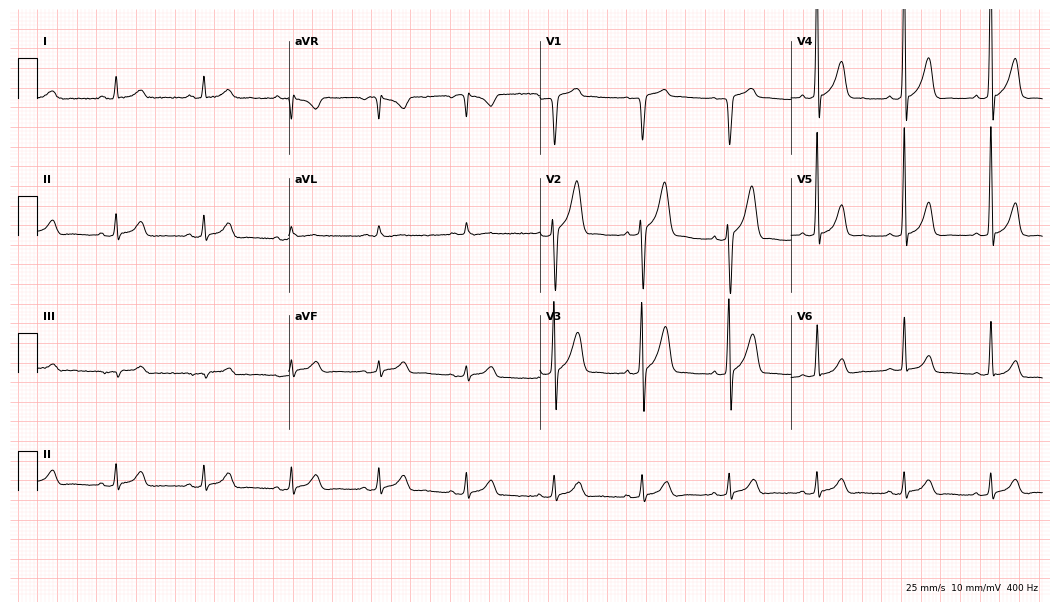
Standard 12-lead ECG recorded from a man, 70 years old (10.2-second recording at 400 Hz). Read as a normal ECG.